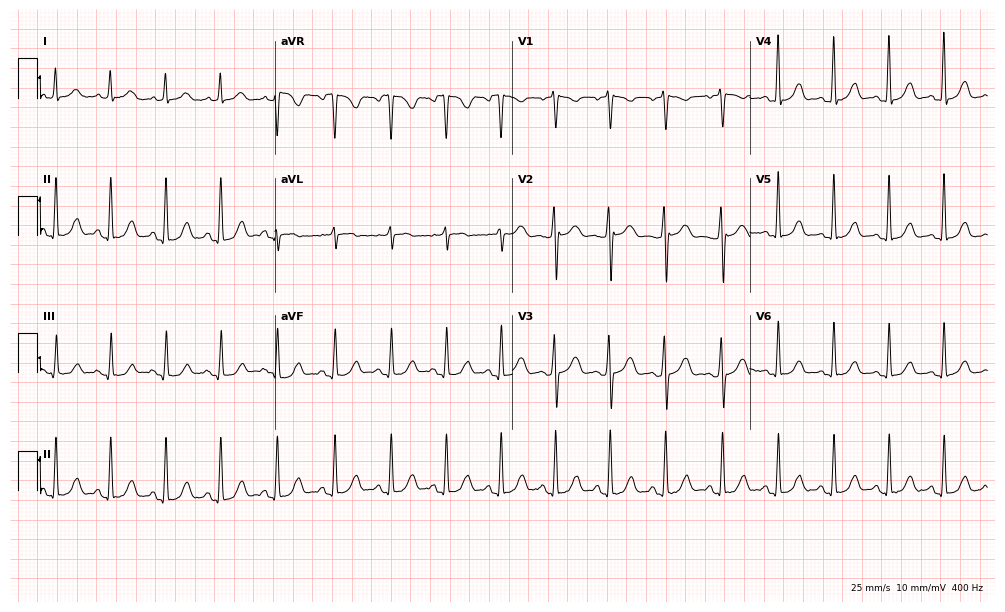
12-lead ECG from a 60-year-old woman. Findings include sinus tachycardia (a sinus rate of 100 beats per minute or more).